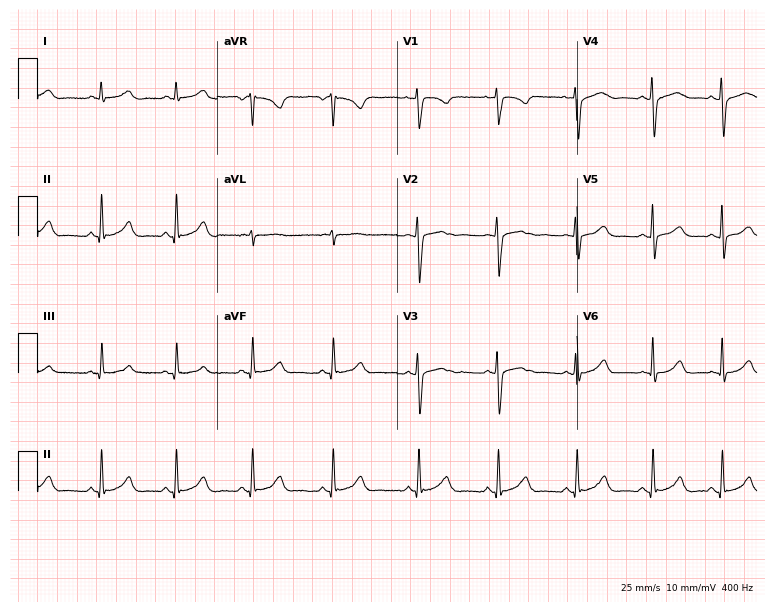
12-lead ECG (7.3-second recording at 400 Hz) from a 35-year-old woman. Labelled as a normal ECG.